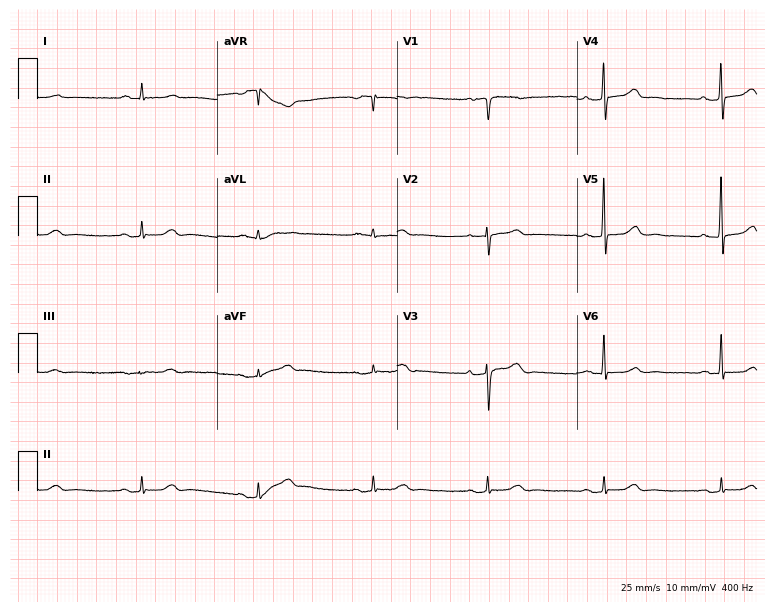
12-lead ECG from a male, 59 years old (7.3-second recording at 400 Hz). Recorded interpretation: within normal limits.